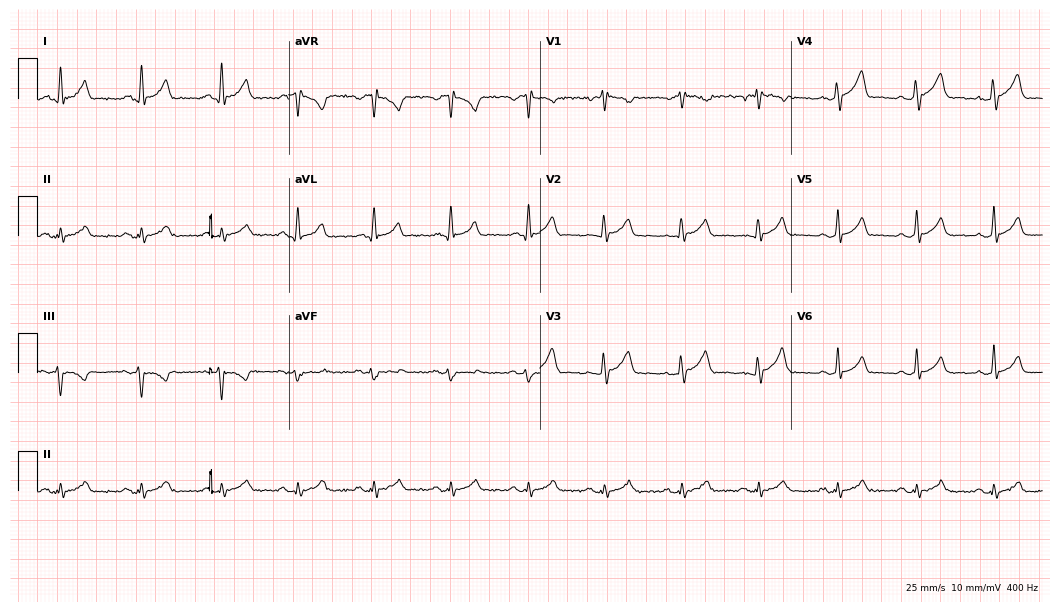
12-lead ECG from a 38-year-old male. Labelled as a normal ECG.